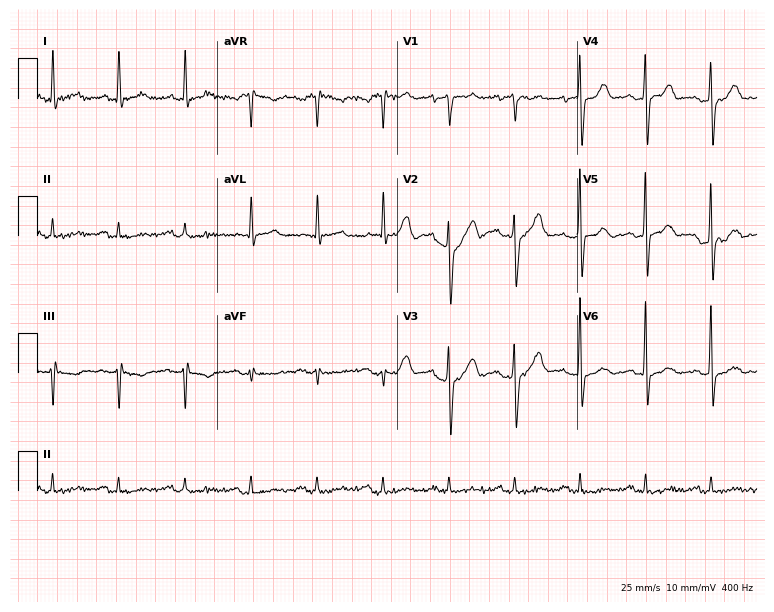
Resting 12-lead electrocardiogram. Patient: an 84-year-old male. Read as a normal ECG.